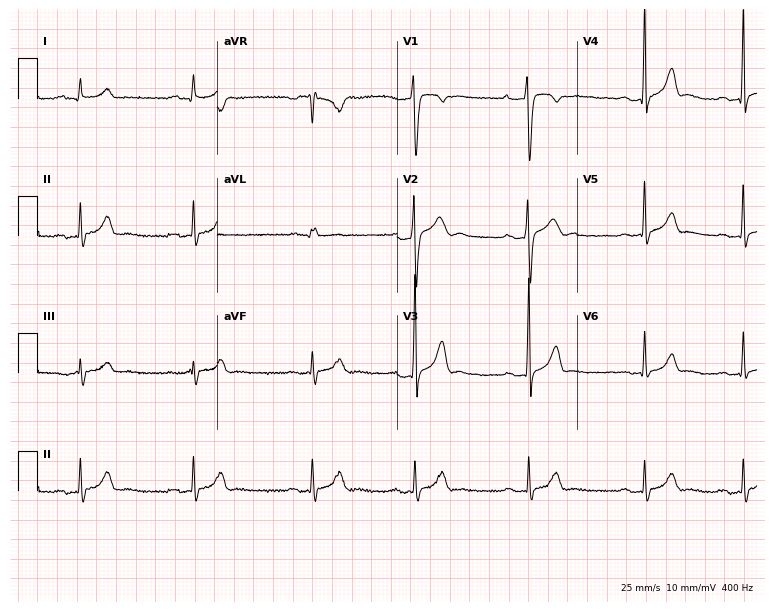
12-lead ECG from a 26-year-old male (7.3-second recording at 400 Hz). Shows first-degree AV block.